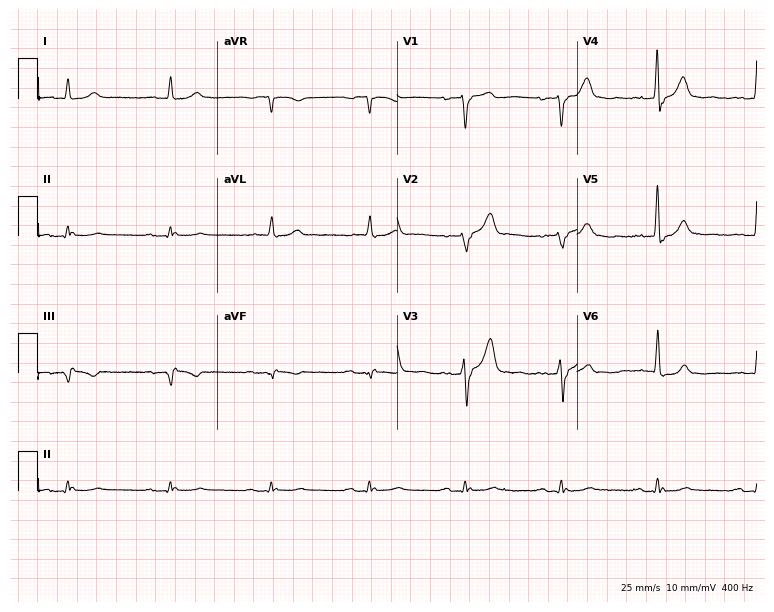
Standard 12-lead ECG recorded from a 65-year-old male. None of these six findings is recorded: first-degree AV block, right bundle branch block, left bundle branch block, sinus bradycardia, atrial fibrillation, sinus tachycardia. Findings outside these six are not listed.